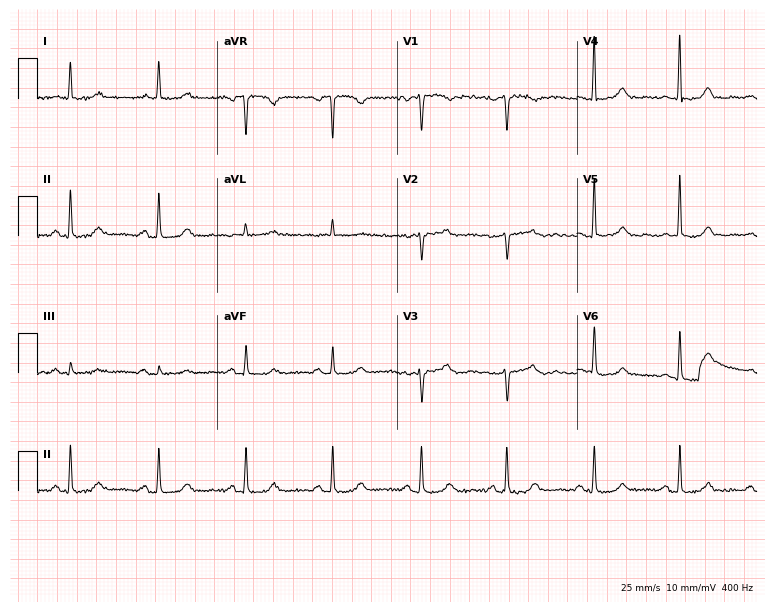
ECG — a 68-year-old female. Screened for six findings — first-degree AV block, right bundle branch block (RBBB), left bundle branch block (LBBB), sinus bradycardia, atrial fibrillation (AF), sinus tachycardia — none is recorded. Only these six findings were labelled.